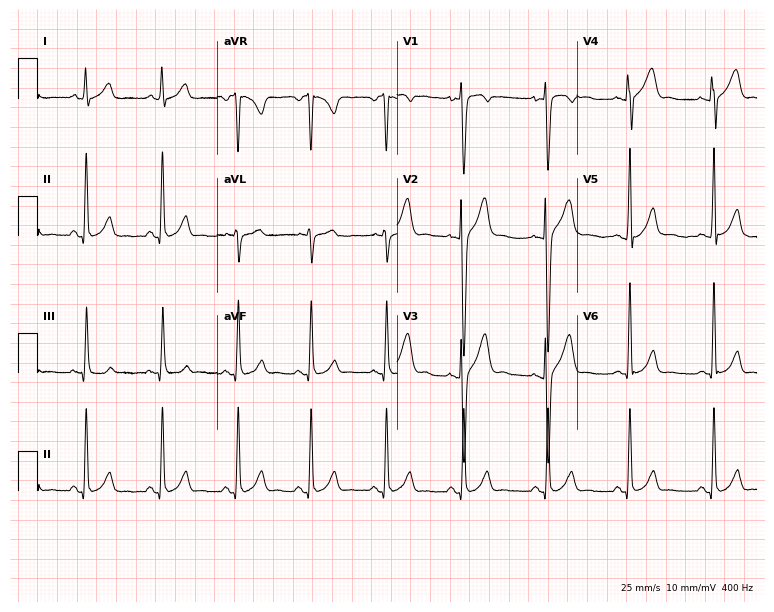
Electrocardiogram (7.3-second recording at 400 Hz), a 27-year-old male patient. Of the six screened findings (first-degree AV block, right bundle branch block, left bundle branch block, sinus bradycardia, atrial fibrillation, sinus tachycardia), none is recorded. Other findings, if any, are not listed.